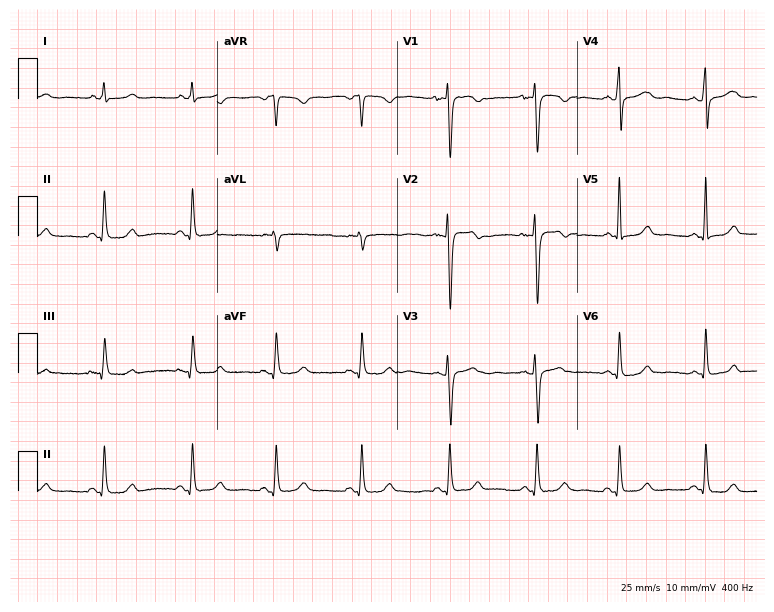
Resting 12-lead electrocardiogram. Patient: a female, 35 years old. None of these six findings is recorded: first-degree AV block, right bundle branch block (RBBB), left bundle branch block (LBBB), sinus bradycardia, atrial fibrillation (AF), sinus tachycardia. Only these six findings were labelled.